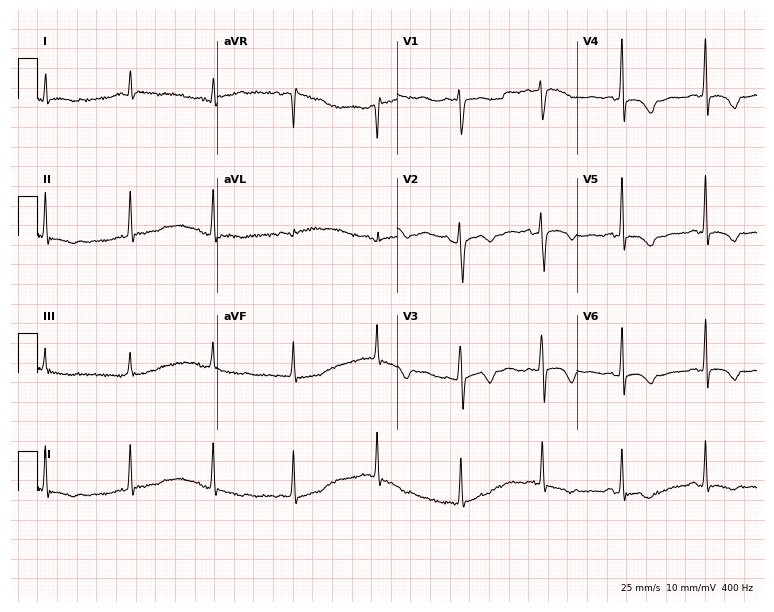
12-lead ECG from a female, 46 years old. No first-degree AV block, right bundle branch block (RBBB), left bundle branch block (LBBB), sinus bradycardia, atrial fibrillation (AF) or sinus tachycardia recorded for this tracing. Findings outside these six are not listed.